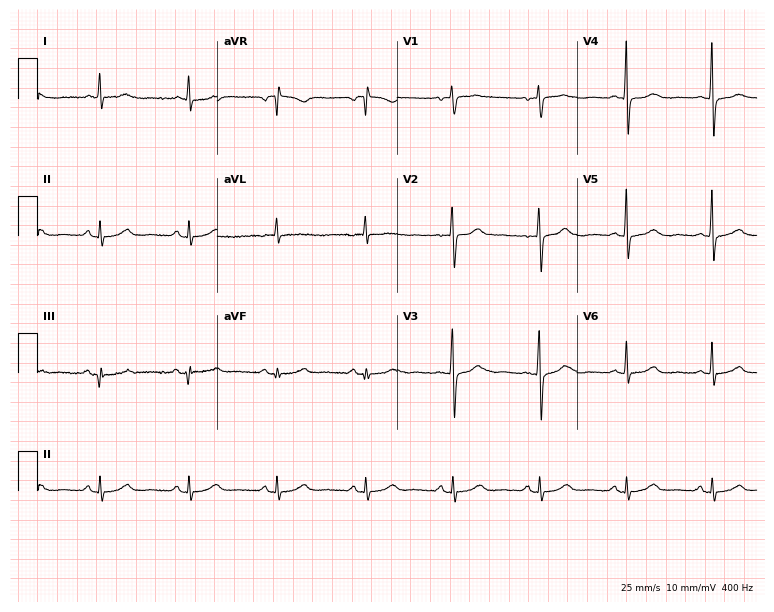
Standard 12-lead ECG recorded from a 65-year-old woman. None of these six findings is recorded: first-degree AV block, right bundle branch block, left bundle branch block, sinus bradycardia, atrial fibrillation, sinus tachycardia.